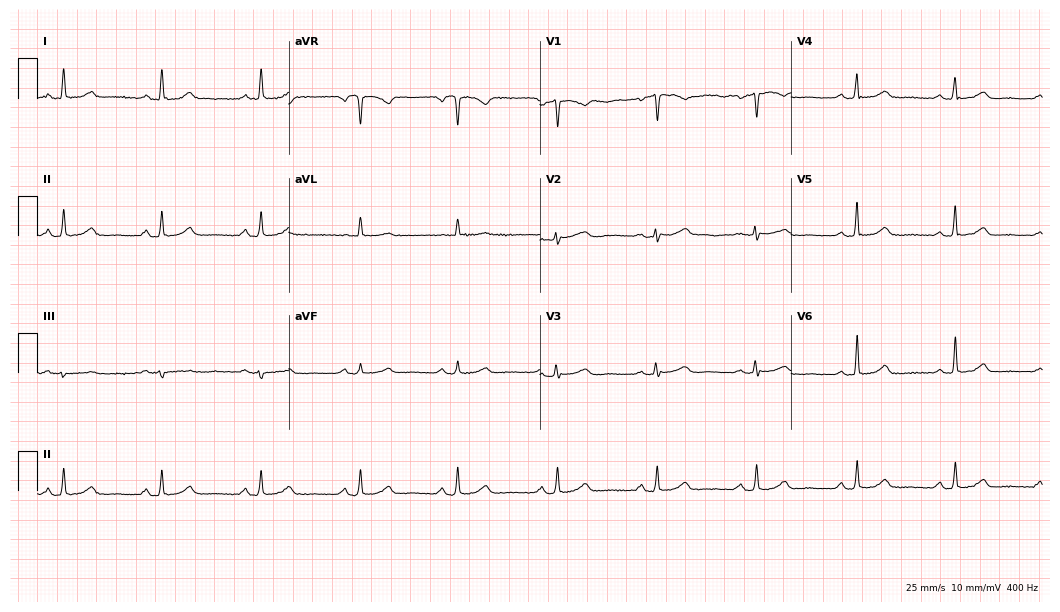
Standard 12-lead ECG recorded from a female patient, 60 years old (10.2-second recording at 400 Hz). None of these six findings is recorded: first-degree AV block, right bundle branch block (RBBB), left bundle branch block (LBBB), sinus bradycardia, atrial fibrillation (AF), sinus tachycardia. Findings outside these six are not listed.